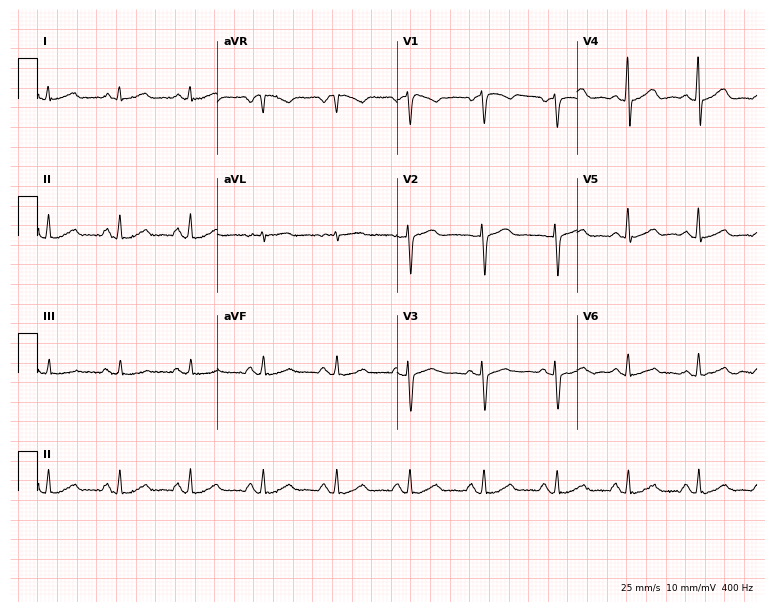
Standard 12-lead ECG recorded from a 47-year-old female patient. Read as a normal ECG.